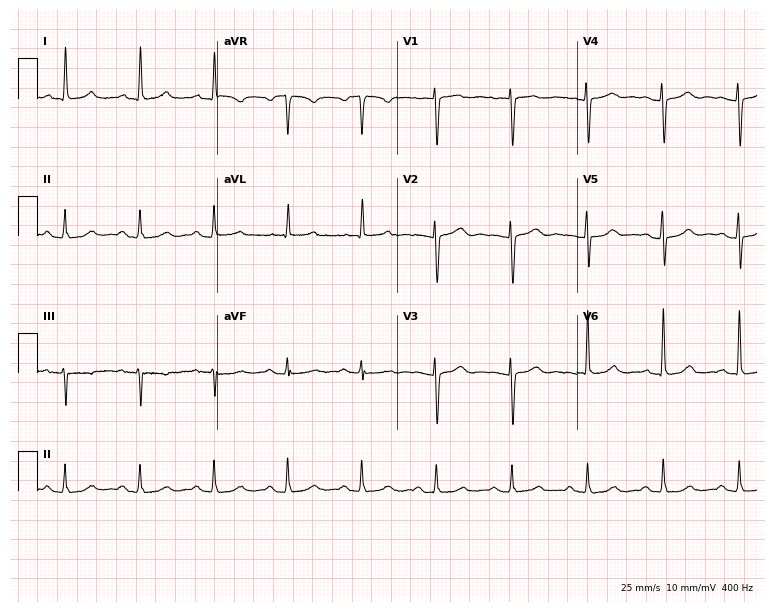
12-lead ECG from a female, 77 years old. Shows first-degree AV block.